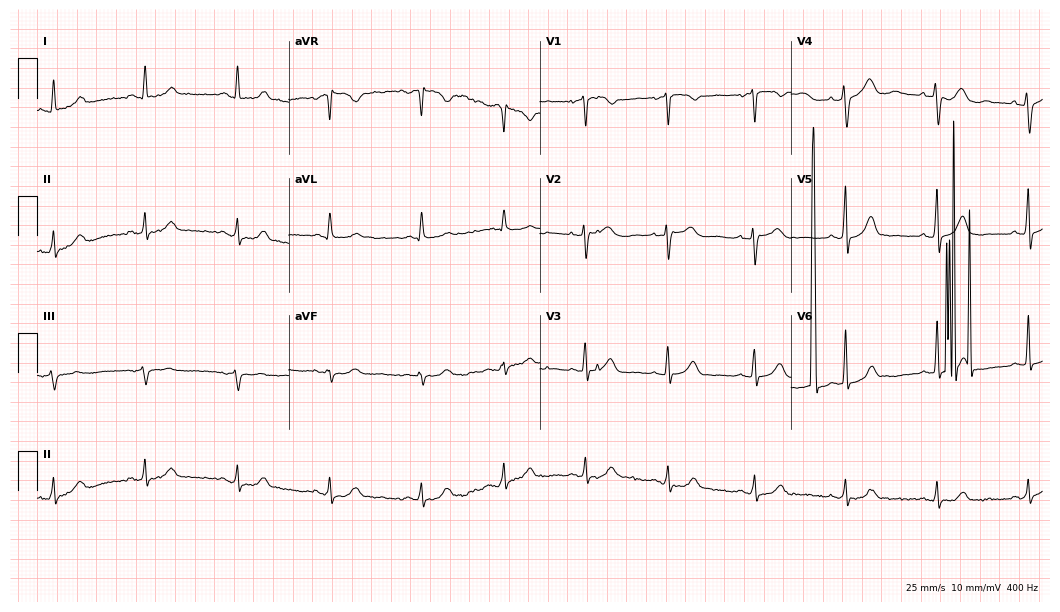
Electrocardiogram, a female patient, 55 years old. Of the six screened findings (first-degree AV block, right bundle branch block (RBBB), left bundle branch block (LBBB), sinus bradycardia, atrial fibrillation (AF), sinus tachycardia), none is recorded. Only these six findings were labelled.